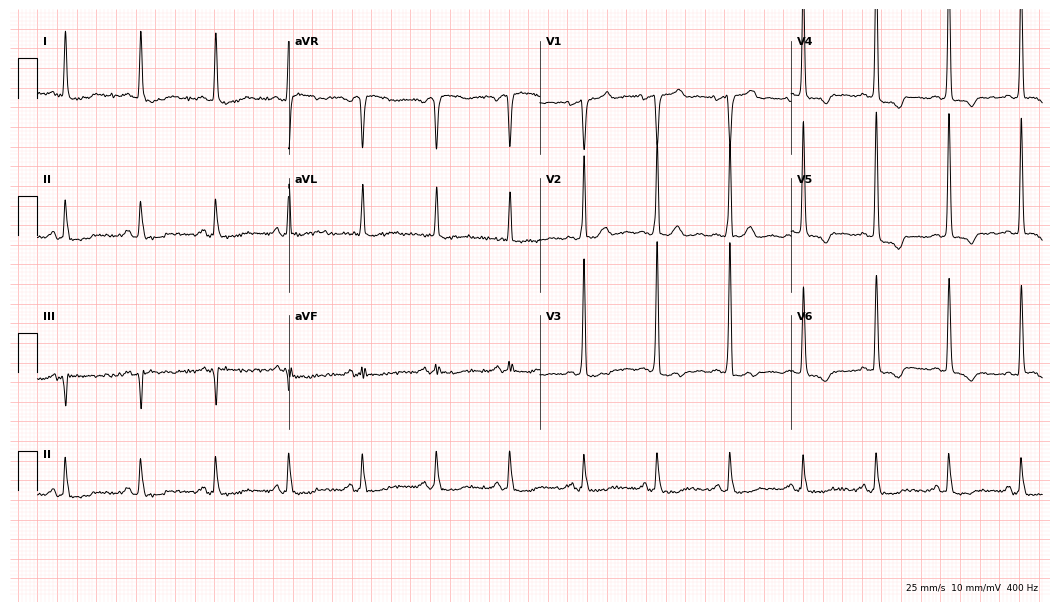
Standard 12-lead ECG recorded from a male, 79 years old (10.2-second recording at 400 Hz). None of these six findings is recorded: first-degree AV block, right bundle branch block, left bundle branch block, sinus bradycardia, atrial fibrillation, sinus tachycardia. Only these six findings were labelled.